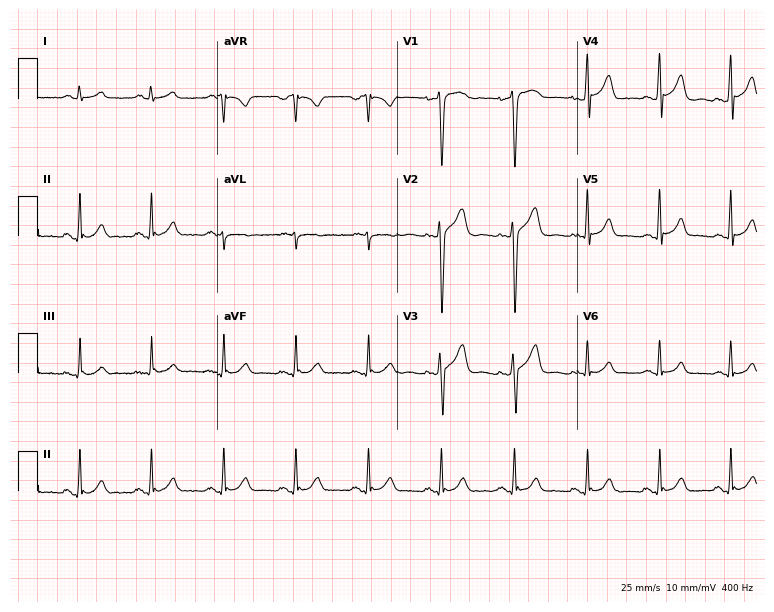
Standard 12-lead ECG recorded from a 51-year-old man. Read as a normal ECG.